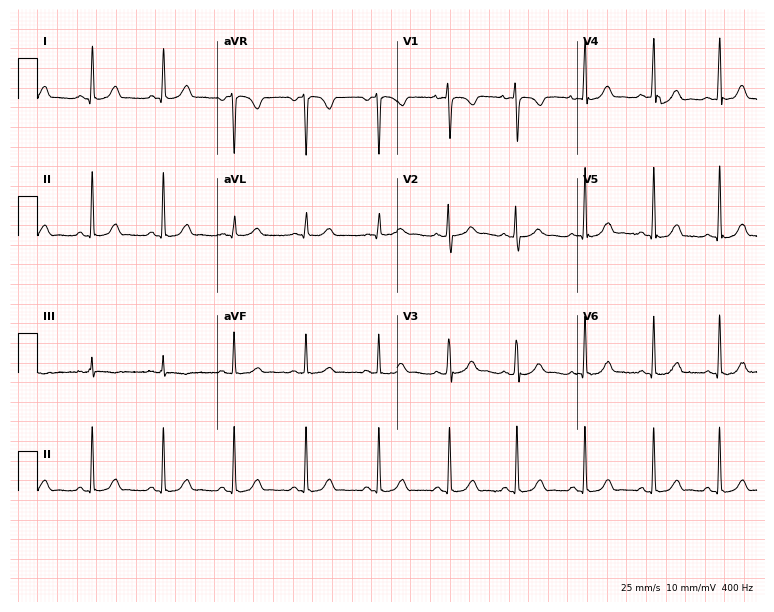
Resting 12-lead electrocardiogram. Patient: a 17-year-old woman. Read as a normal ECG.